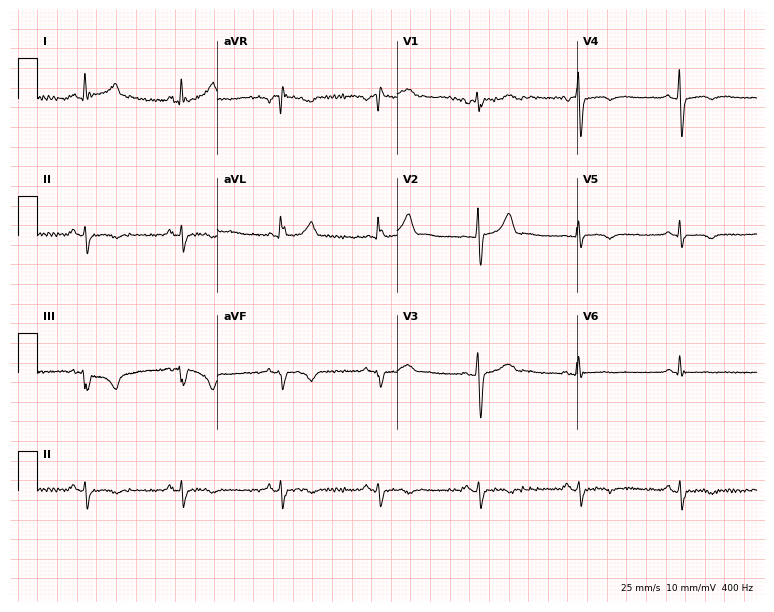
Electrocardiogram (7.3-second recording at 400 Hz), a woman, 68 years old. Of the six screened findings (first-degree AV block, right bundle branch block, left bundle branch block, sinus bradycardia, atrial fibrillation, sinus tachycardia), none is recorded. Findings outside these six are not listed.